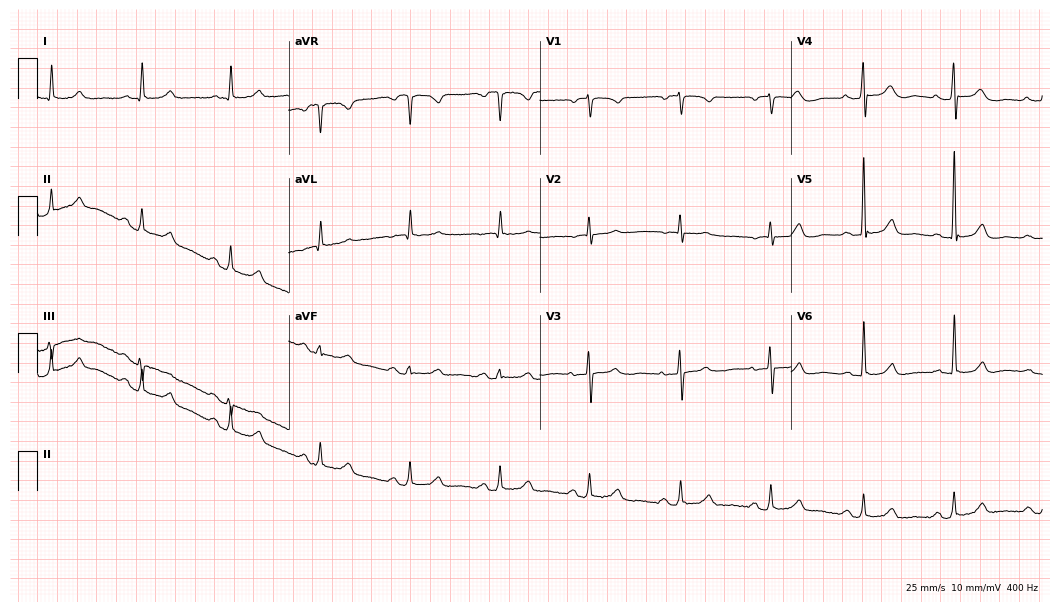
Standard 12-lead ECG recorded from a female, 81 years old. Read as a normal ECG.